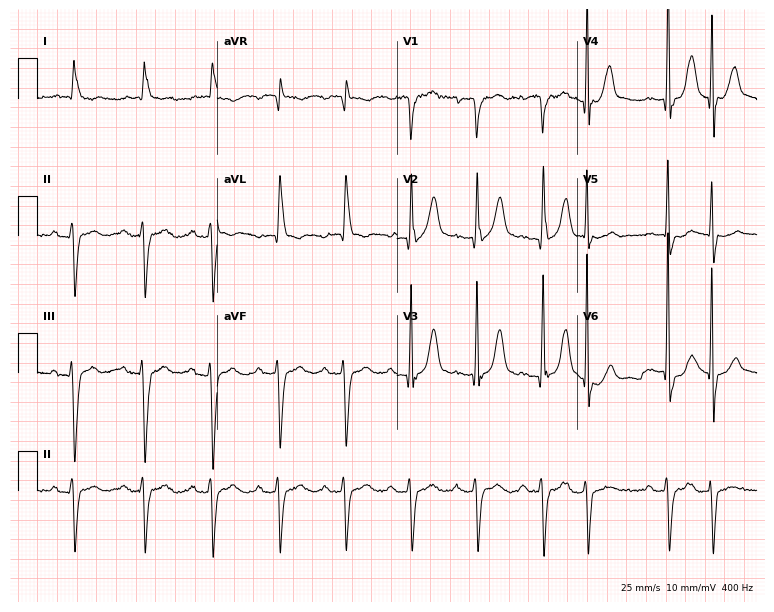
ECG — an 80-year-old male patient. Findings include first-degree AV block.